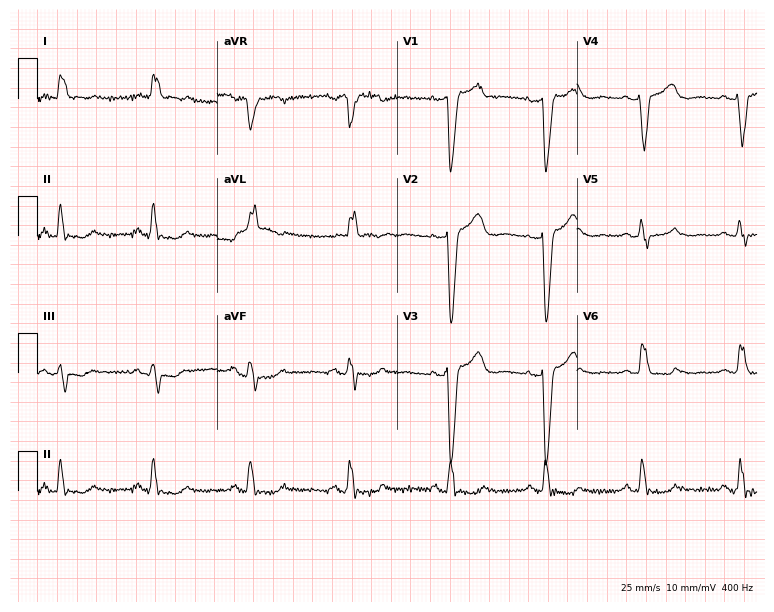
Standard 12-lead ECG recorded from a 61-year-old woman. None of these six findings is recorded: first-degree AV block, right bundle branch block (RBBB), left bundle branch block (LBBB), sinus bradycardia, atrial fibrillation (AF), sinus tachycardia.